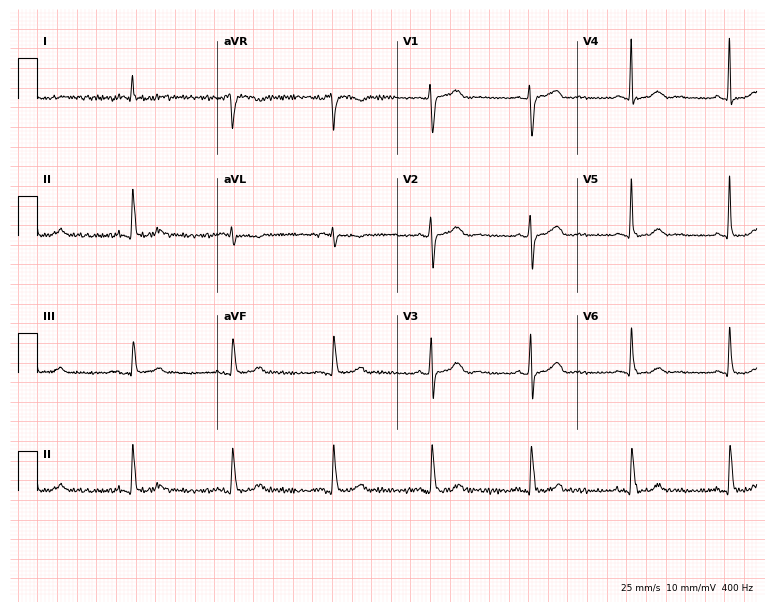
12-lead ECG from a woman, 77 years old (7.3-second recording at 400 Hz). No first-degree AV block, right bundle branch block, left bundle branch block, sinus bradycardia, atrial fibrillation or sinus tachycardia recorded for this tracing. Only these six findings were labelled.